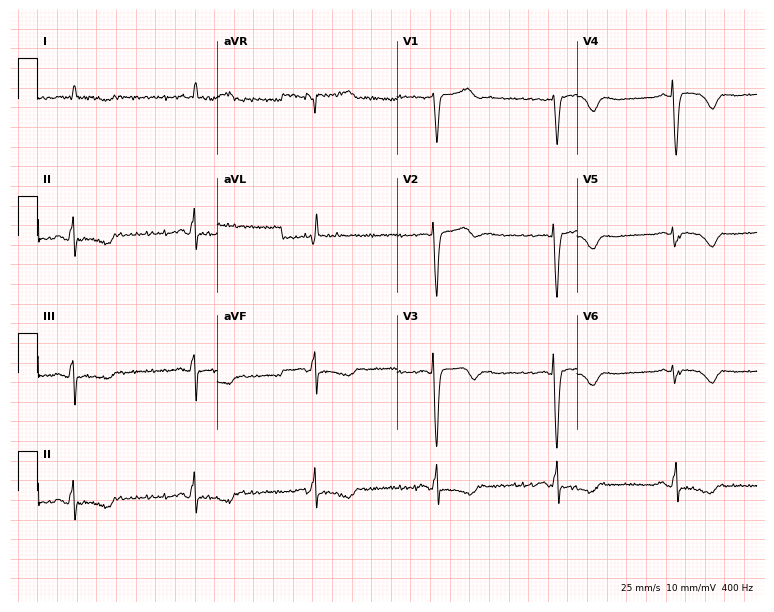
12-lead ECG (7.3-second recording at 400 Hz) from a man, 79 years old. Findings include sinus bradycardia (a sinus rate of 50 beats per minute or less).